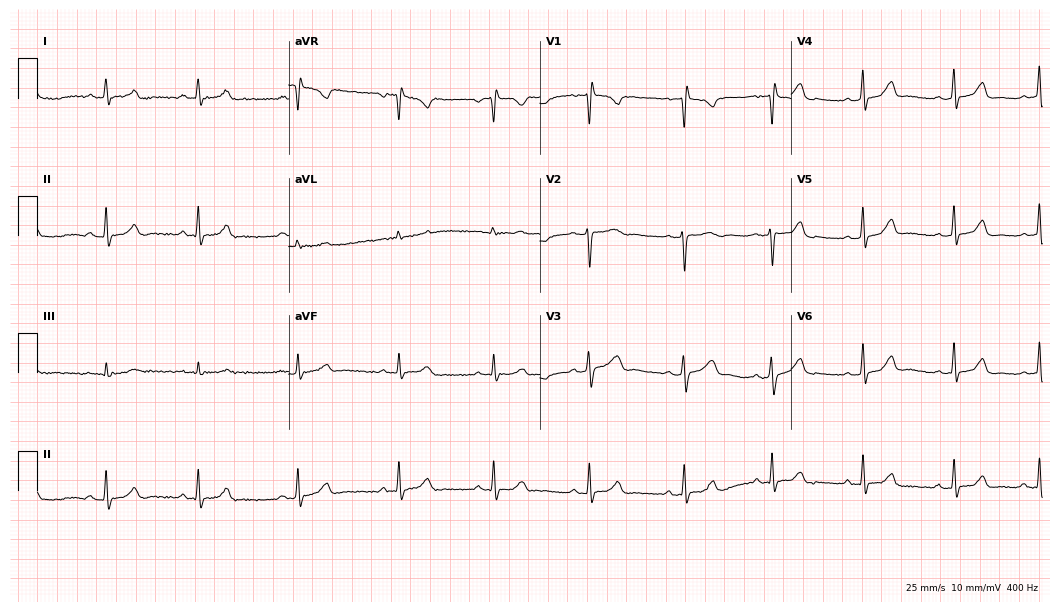
Electrocardiogram (10.2-second recording at 400 Hz), a 17-year-old woman. Overall reading on record: normal ECG.